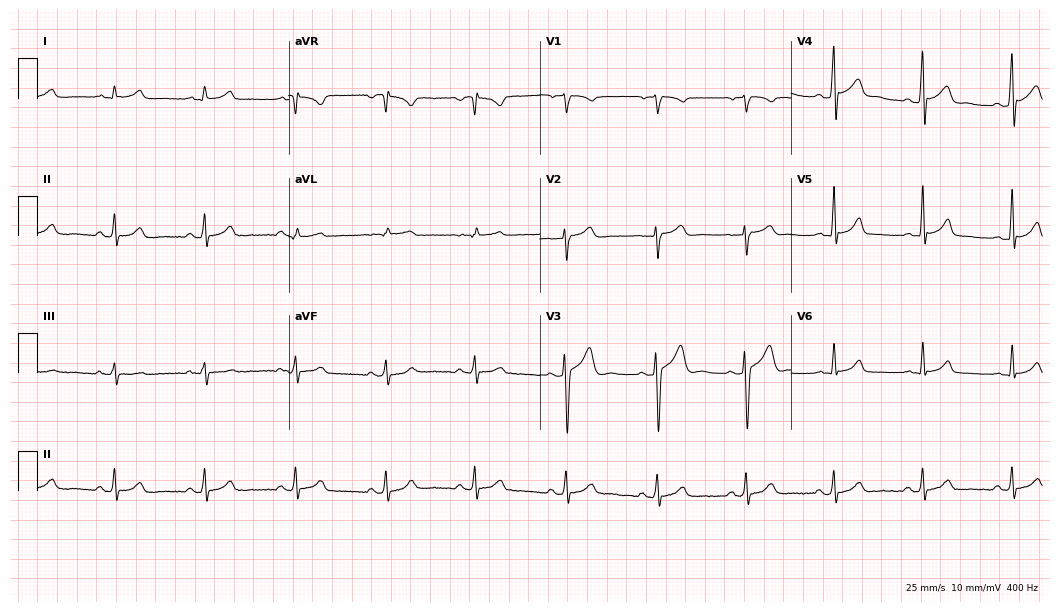
12-lead ECG (10.2-second recording at 400 Hz) from a male, 28 years old. Labelled as a normal ECG.